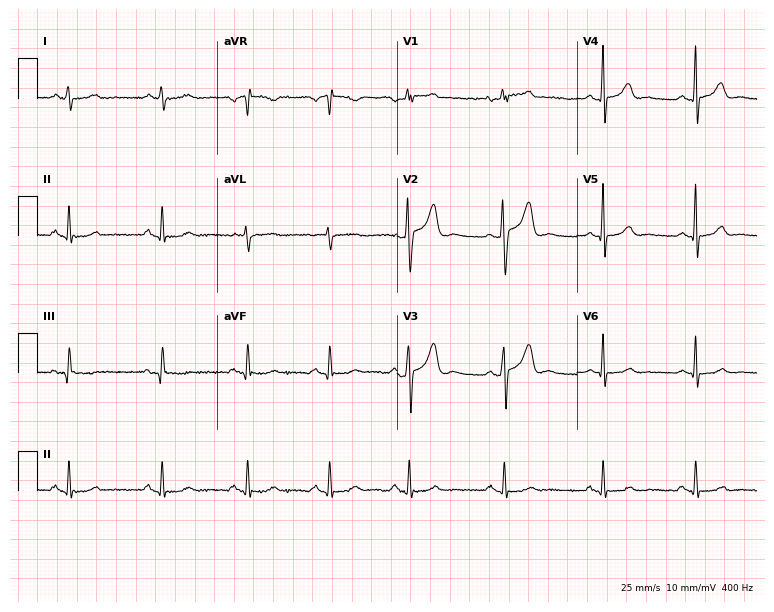
Standard 12-lead ECG recorded from a male patient, 40 years old. Read as a normal ECG.